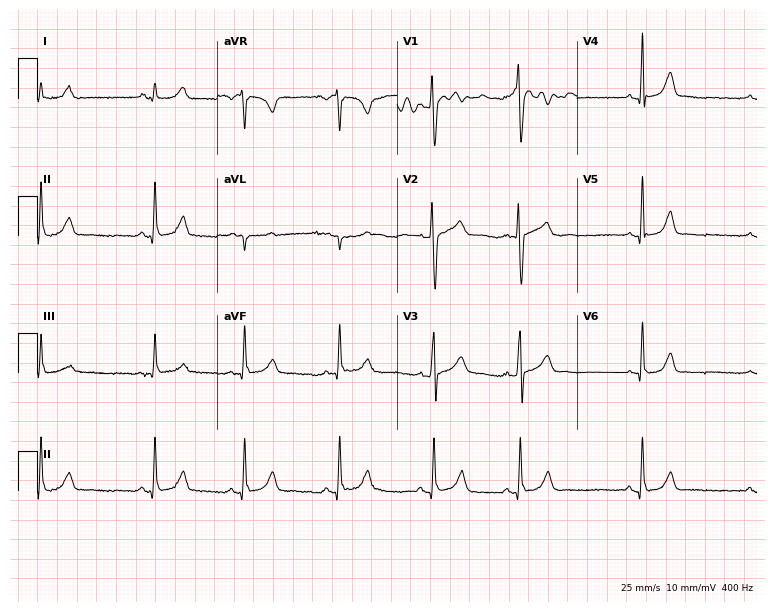
12-lead ECG from a woman, 17 years old. Labelled as a normal ECG.